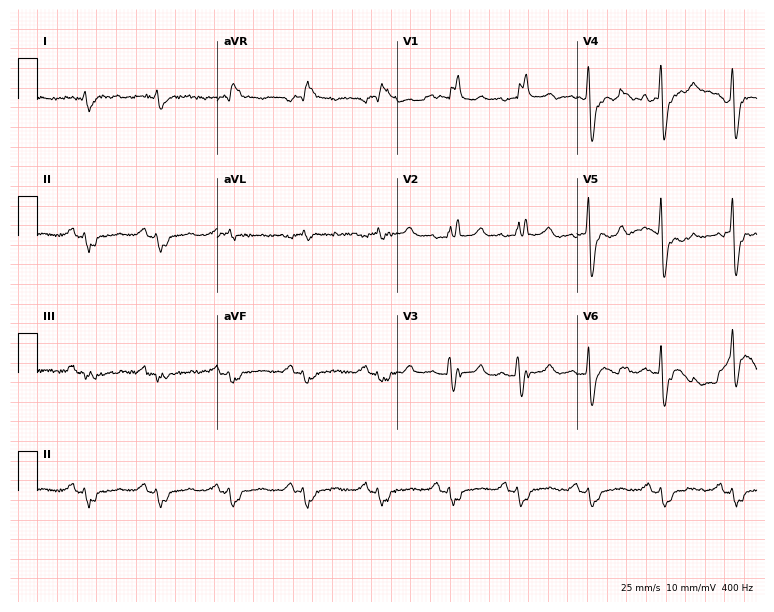
Electrocardiogram (7.3-second recording at 400 Hz), a 69-year-old man. Interpretation includes right bundle branch block.